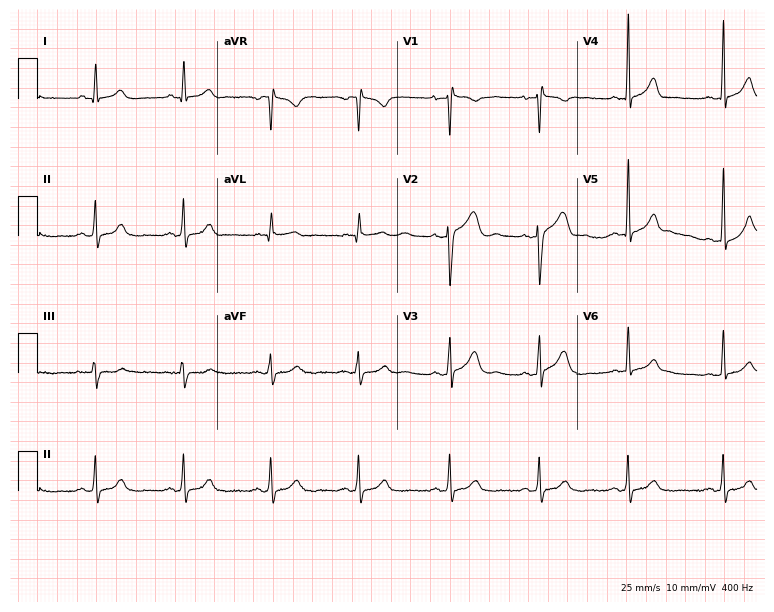
12-lead ECG from a 32-year-old woman. No first-degree AV block, right bundle branch block, left bundle branch block, sinus bradycardia, atrial fibrillation or sinus tachycardia recorded for this tracing.